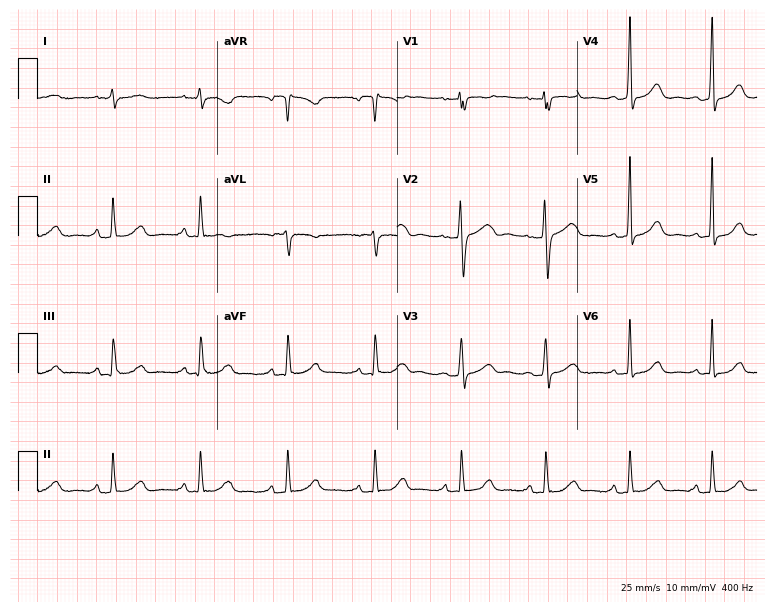
12-lead ECG from a 54-year-old female. Labelled as a normal ECG.